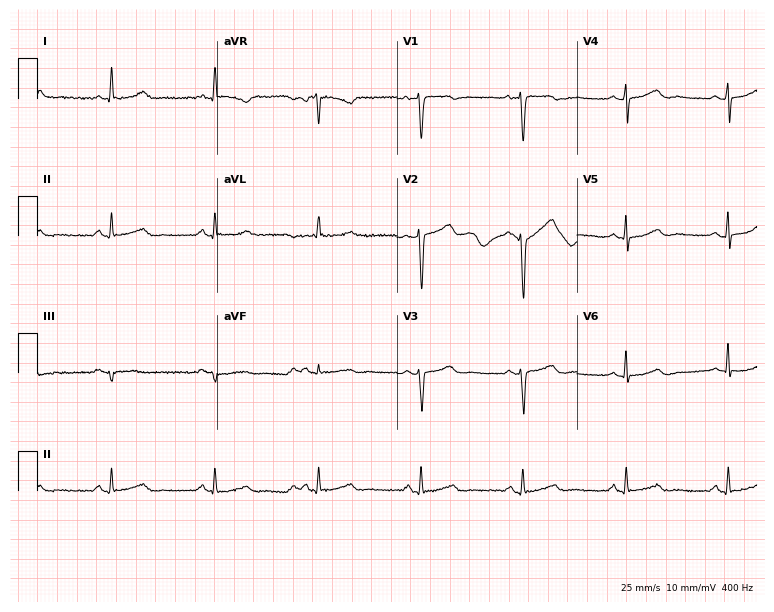
12-lead ECG from a 43-year-old woman. Recorded interpretation: within normal limits.